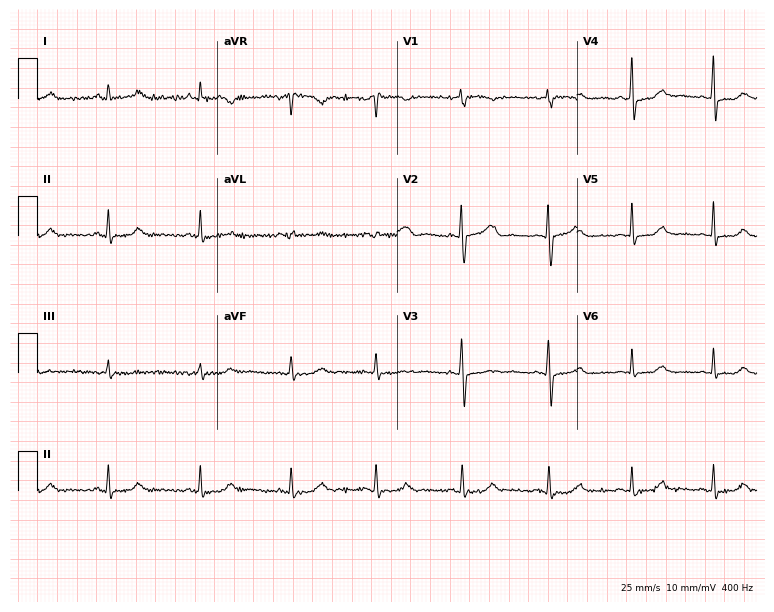
12-lead ECG (7.3-second recording at 400 Hz) from a 51-year-old woman. Labelled as a normal ECG.